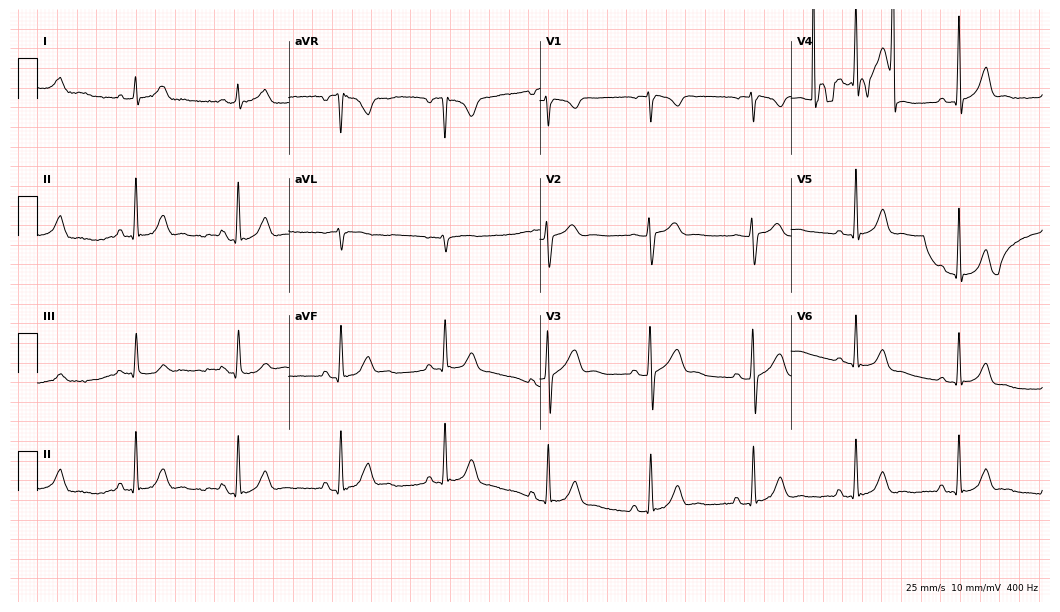
12-lead ECG from a 39-year-old female patient. Screened for six findings — first-degree AV block, right bundle branch block (RBBB), left bundle branch block (LBBB), sinus bradycardia, atrial fibrillation (AF), sinus tachycardia — none is recorded. Only these six findings were labelled.